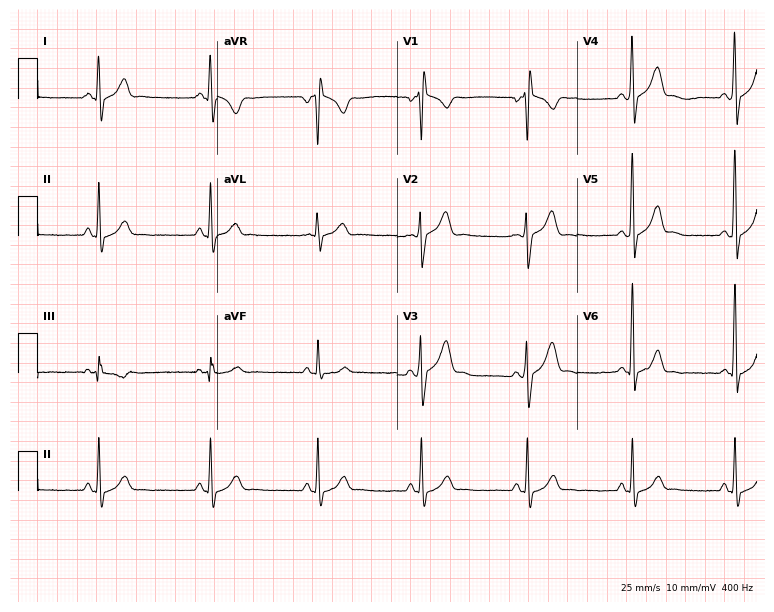
Electrocardiogram (7.3-second recording at 400 Hz), a male, 22 years old. Of the six screened findings (first-degree AV block, right bundle branch block, left bundle branch block, sinus bradycardia, atrial fibrillation, sinus tachycardia), none is recorded. Findings outside these six are not listed.